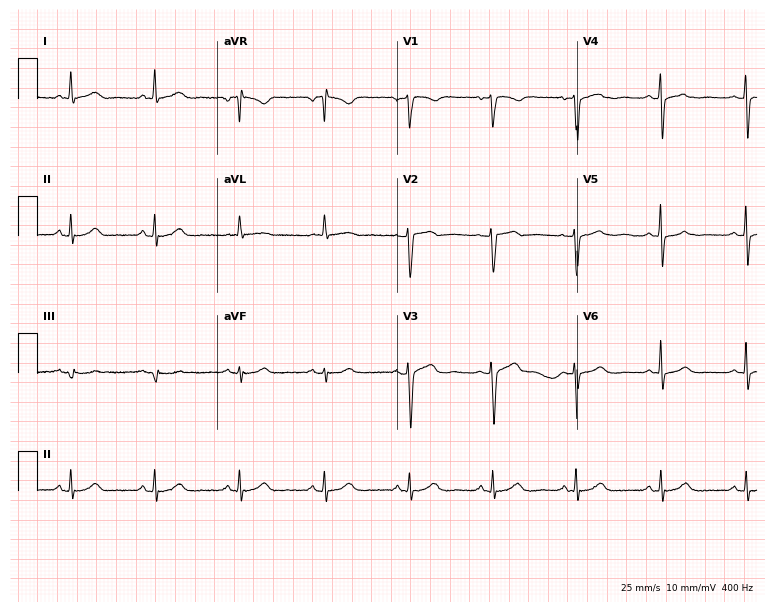
Electrocardiogram, a female patient, 54 years old. Overall reading on record: normal ECG.